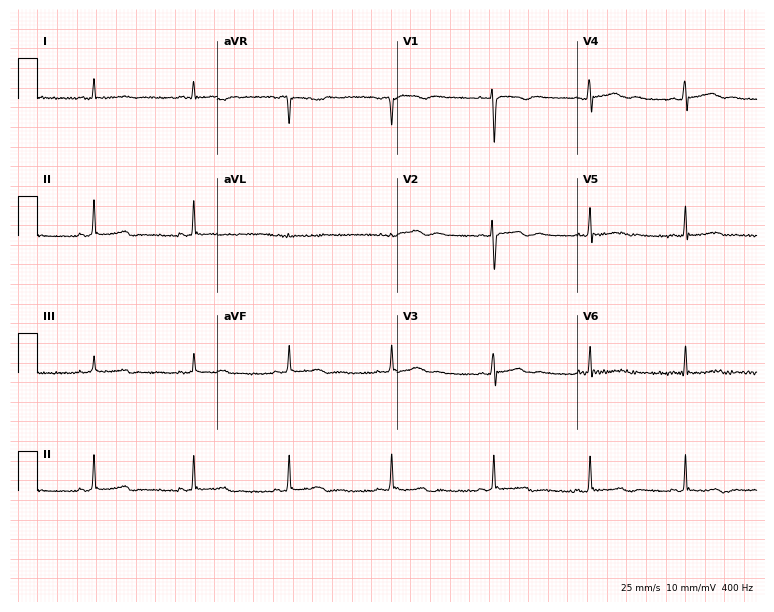
Standard 12-lead ECG recorded from a female, 17 years old. None of these six findings is recorded: first-degree AV block, right bundle branch block, left bundle branch block, sinus bradycardia, atrial fibrillation, sinus tachycardia.